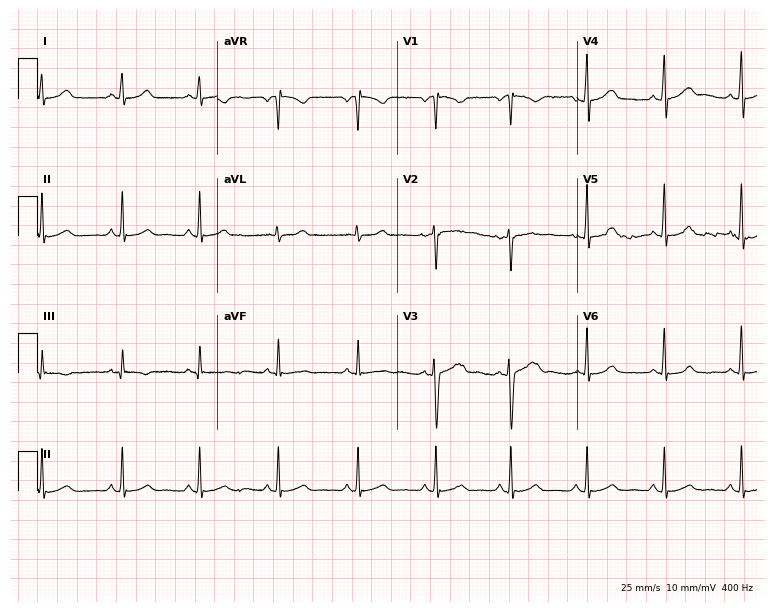
Standard 12-lead ECG recorded from a 29-year-old female. None of these six findings is recorded: first-degree AV block, right bundle branch block, left bundle branch block, sinus bradycardia, atrial fibrillation, sinus tachycardia. Findings outside these six are not listed.